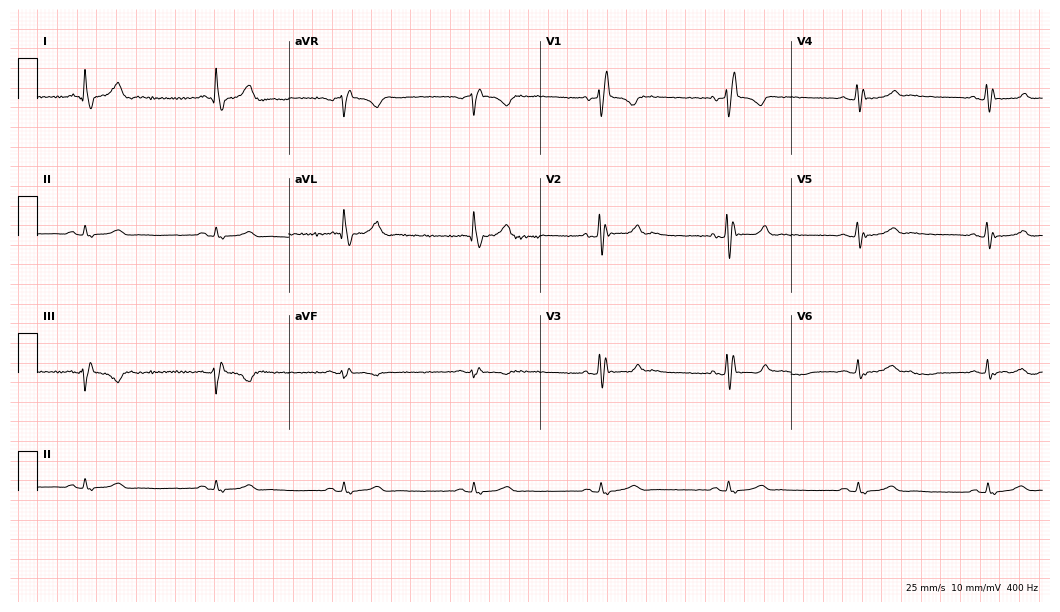
Standard 12-lead ECG recorded from a man, 61 years old (10.2-second recording at 400 Hz). The tracing shows right bundle branch block, sinus bradycardia (a sinus rate of 50 beats per minute or less).